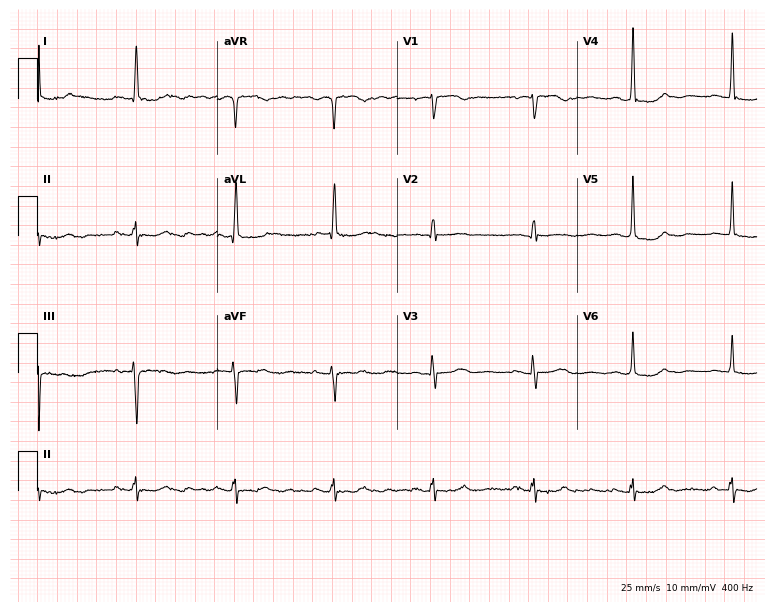
Standard 12-lead ECG recorded from a 77-year-old female patient. Read as a normal ECG.